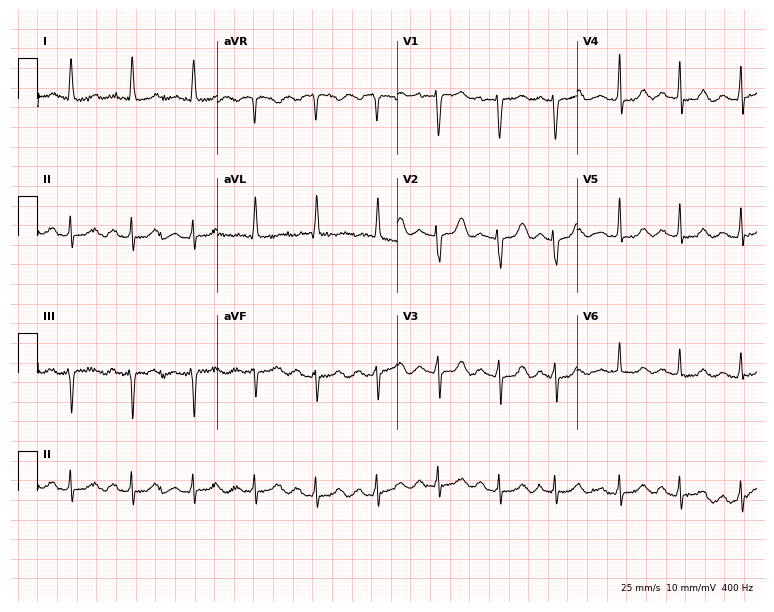
Electrocardiogram (7.3-second recording at 400 Hz), a 69-year-old woman. Of the six screened findings (first-degree AV block, right bundle branch block, left bundle branch block, sinus bradycardia, atrial fibrillation, sinus tachycardia), none is recorded.